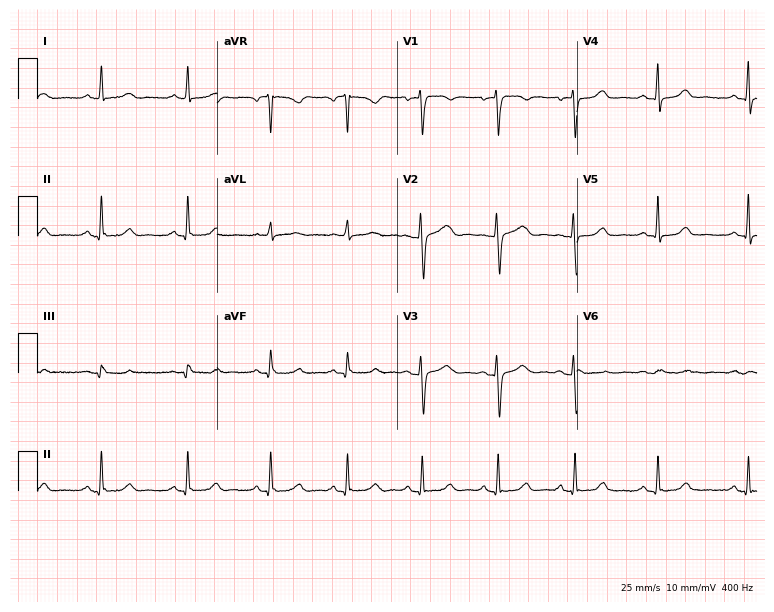
12-lead ECG from a 42-year-old woman. Recorded interpretation: within normal limits.